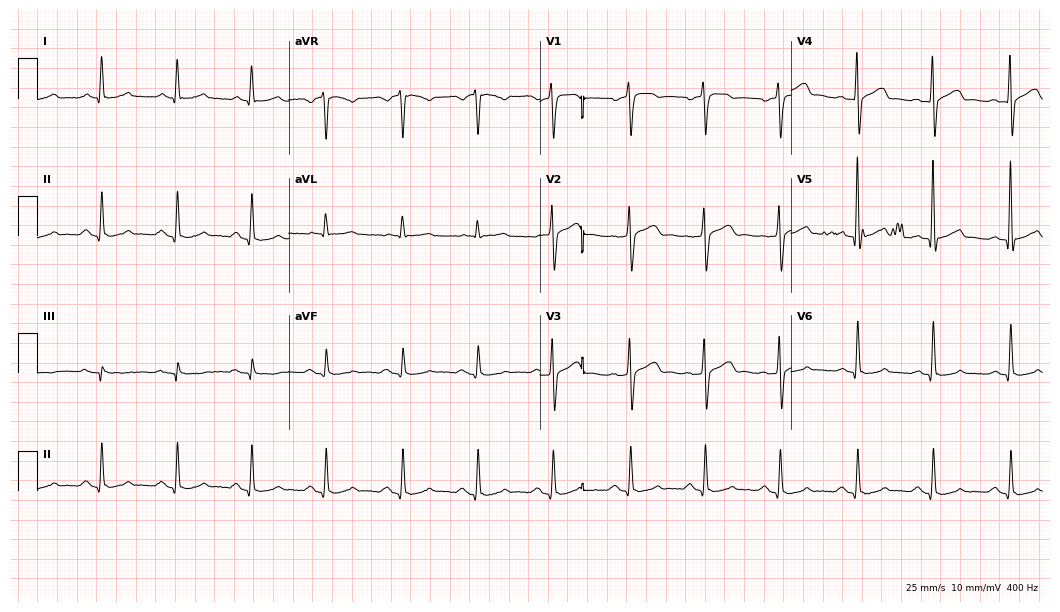
Resting 12-lead electrocardiogram. Patient: a female, 23 years old. None of these six findings is recorded: first-degree AV block, right bundle branch block, left bundle branch block, sinus bradycardia, atrial fibrillation, sinus tachycardia.